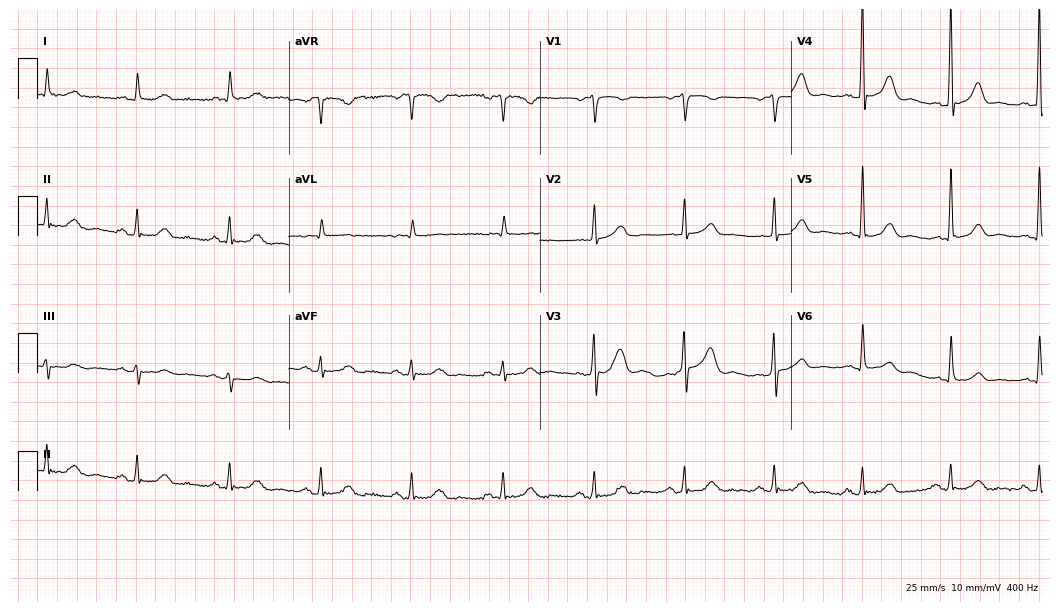
Electrocardiogram, an 81-year-old male patient. Overall reading on record: normal ECG.